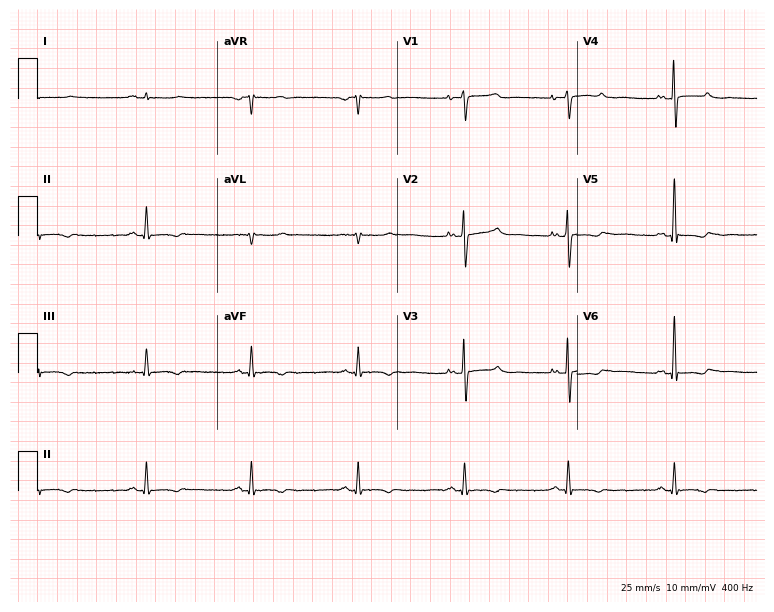
Standard 12-lead ECG recorded from a 41-year-old female patient. None of these six findings is recorded: first-degree AV block, right bundle branch block (RBBB), left bundle branch block (LBBB), sinus bradycardia, atrial fibrillation (AF), sinus tachycardia.